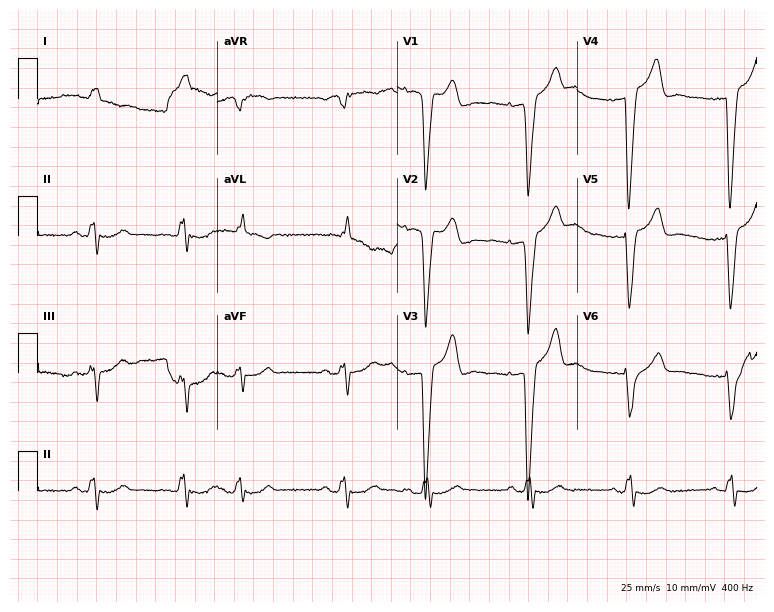
12-lead ECG from a man, 81 years old. Findings include left bundle branch block, atrial fibrillation.